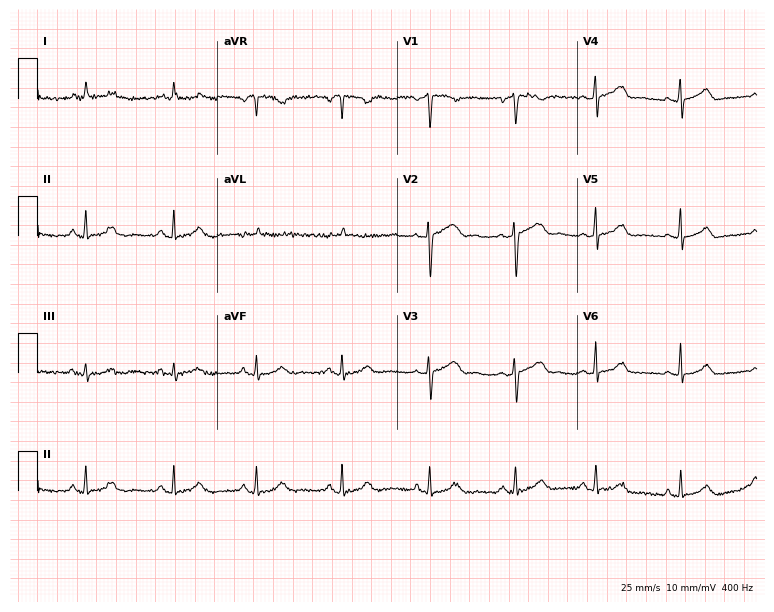
Resting 12-lead electrocardiogram. Patient: a woman, 48 years old. Read as a normal ECG.